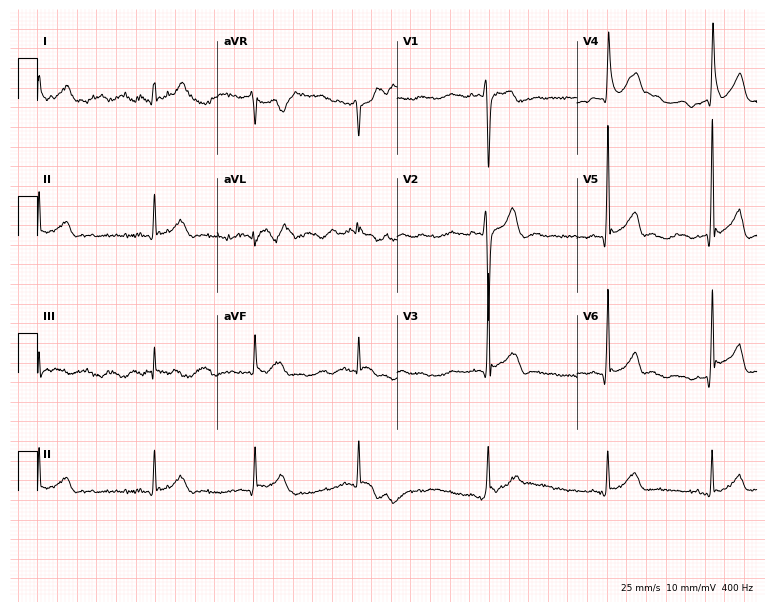
Electrocardiogram (7.3-second recording at 400 Hz), a man, 22 years old. Overall reading on record: normal ECG.